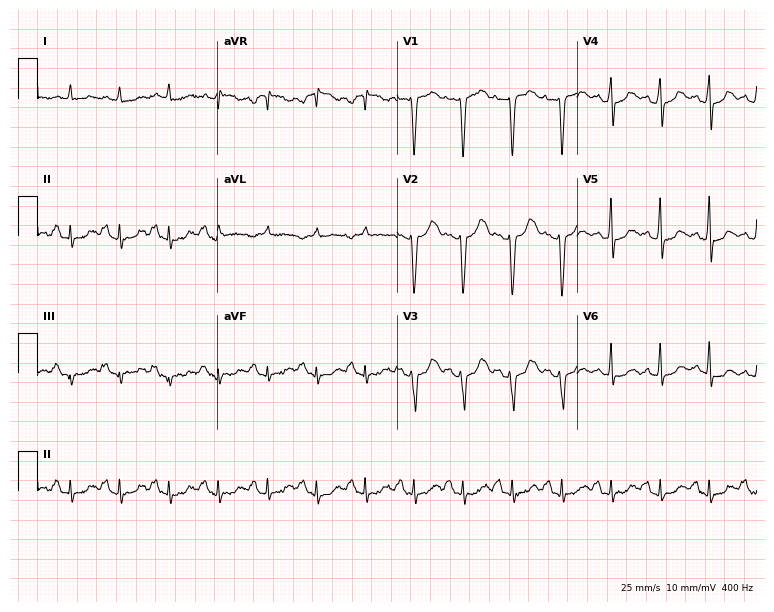
12-lead ECG from a 45-year-old woman (7.3-second recording at 400 Hz). Shows sinus tachycardia (a sinus rate of 100 beats per minute or more).